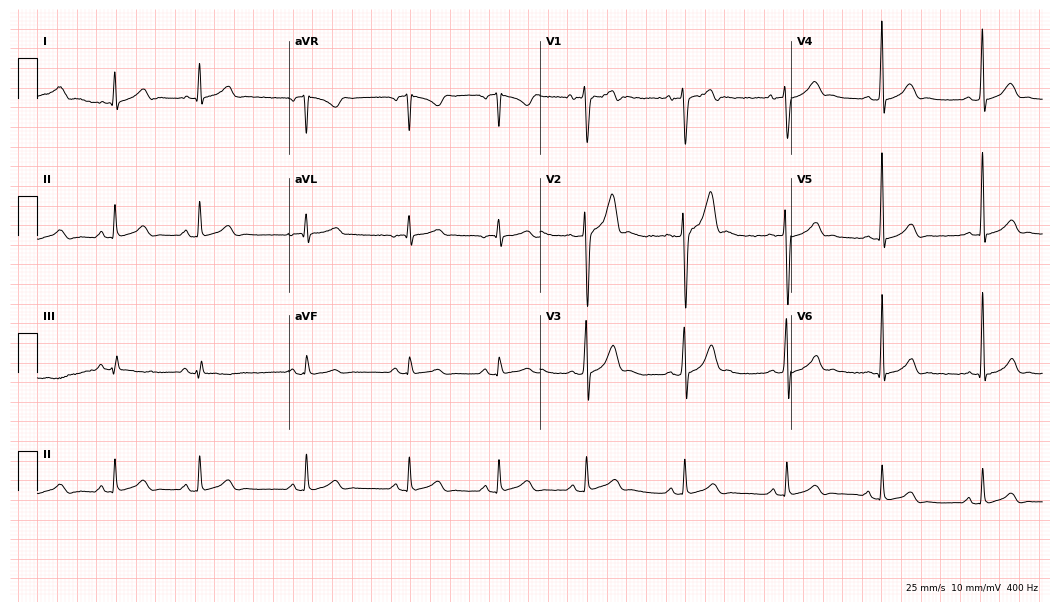
12-lead ECG from a male patient, 19 years old. Screened for six findings — first-degree AV block, right bundle branch block (RBBB), left bundle branch block (LBBB), sinus bradycardia, atrial fibrillation (AF), sinus tachycardia — none is recorded. Other findings, if any, are not listed.